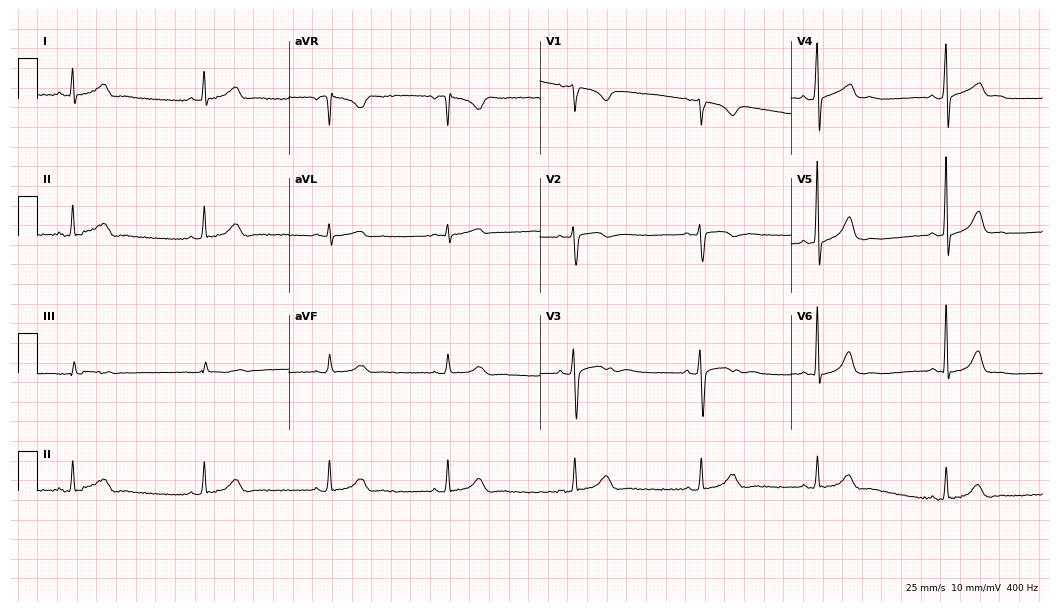
Standard 12-lead ECG recorded from a 36-year-old female patient. The tracing shows sinus bradycardia (a sinus rate of 50 beats per minute or less).